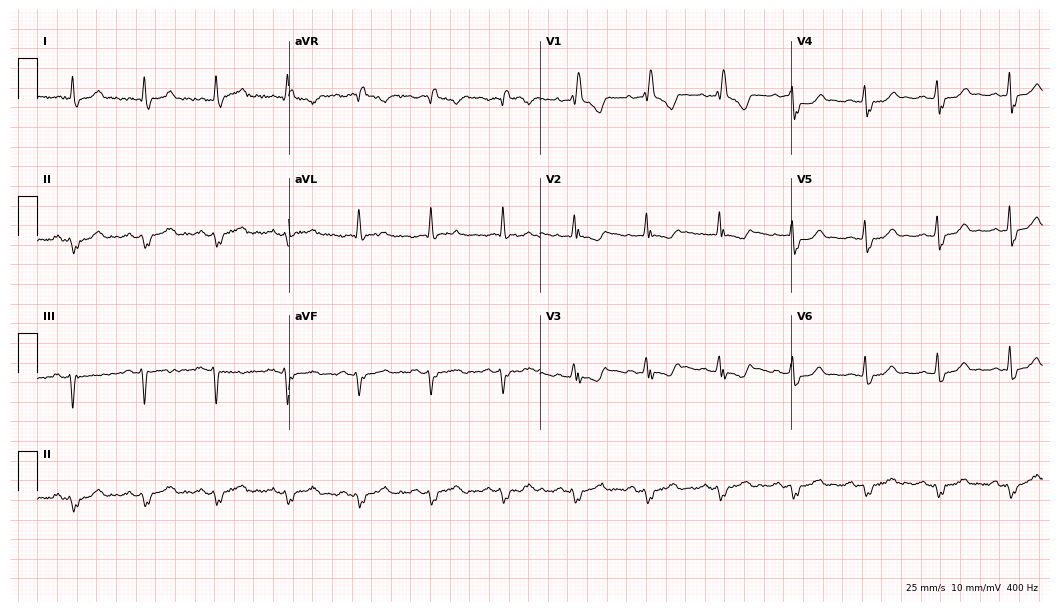
12-lead ECG (10.2-second recording at 400 Hz) from a 63-year-old male patient. Findings include right bundle branch block.